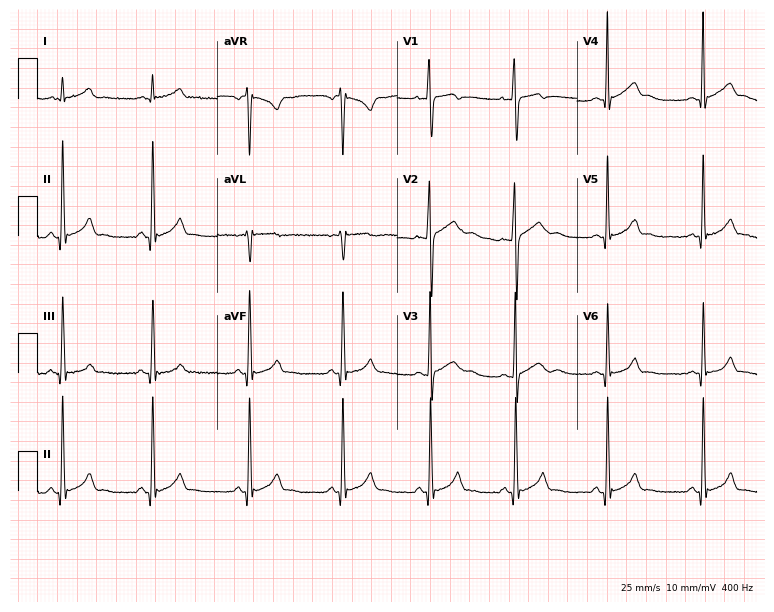
12-lead ECG from a 17-year-old female. Labelled as a normal ECG.